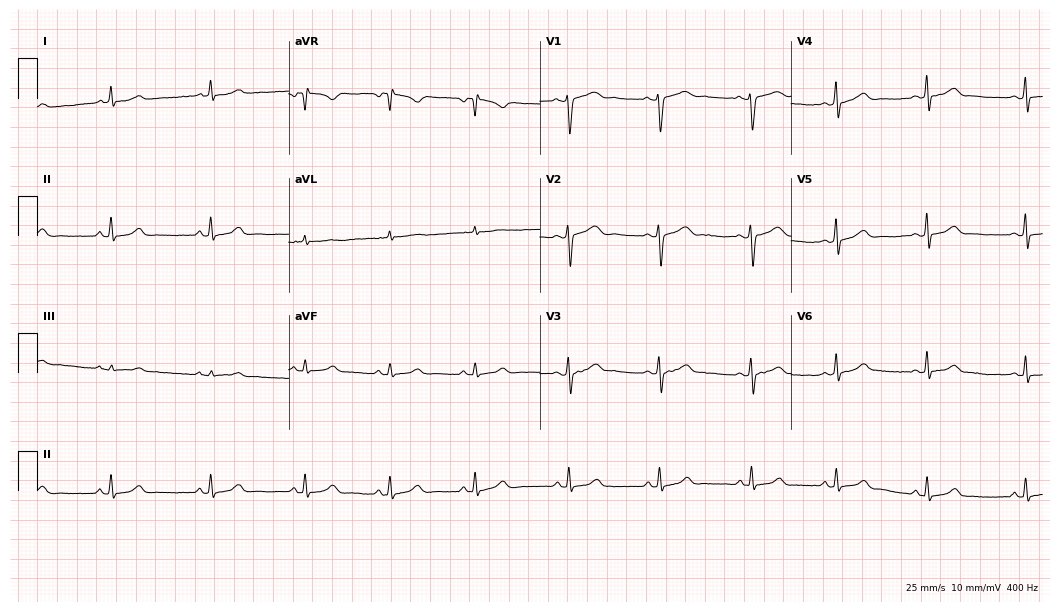
ECG — a male, 27 years old. Labelled as a normal ECG.